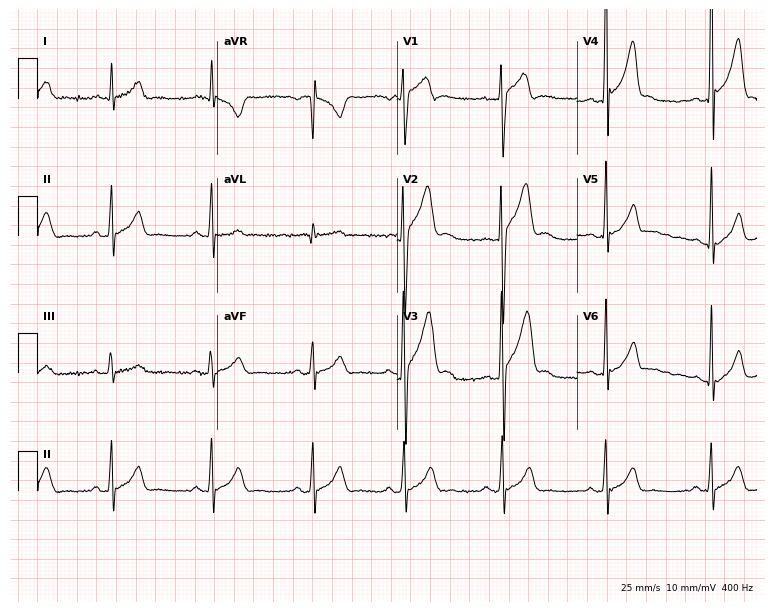
12-lead ECG from a 21-year-old man (7.3-second recording at 400 Hz). Recorded interpretation: within normal limits.